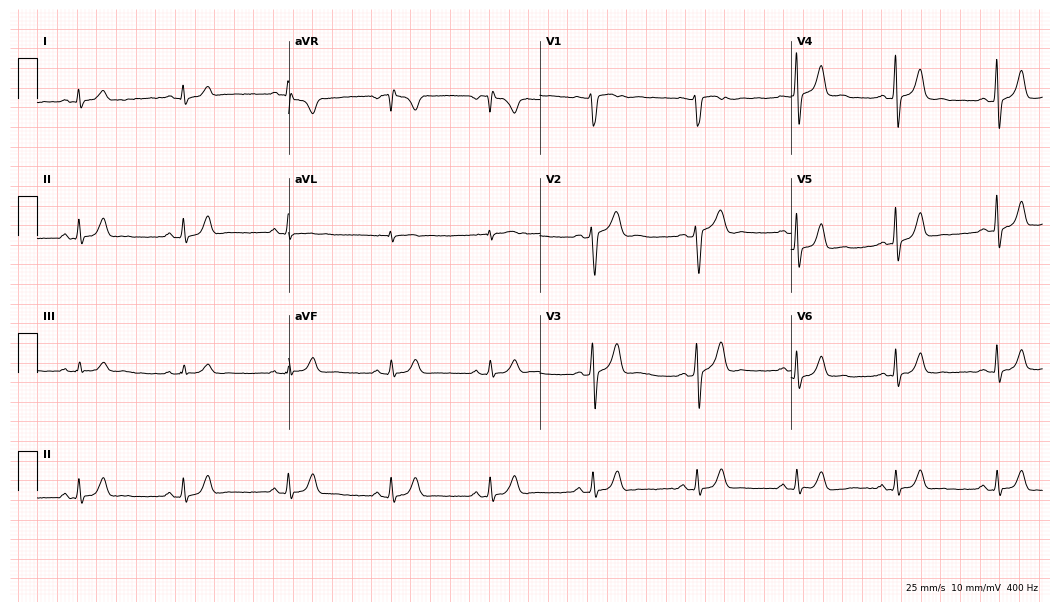
12-lead ECG (10.2-second recording at 400 Hz) from a male, 40 years old. Labelled as a normal ECG.